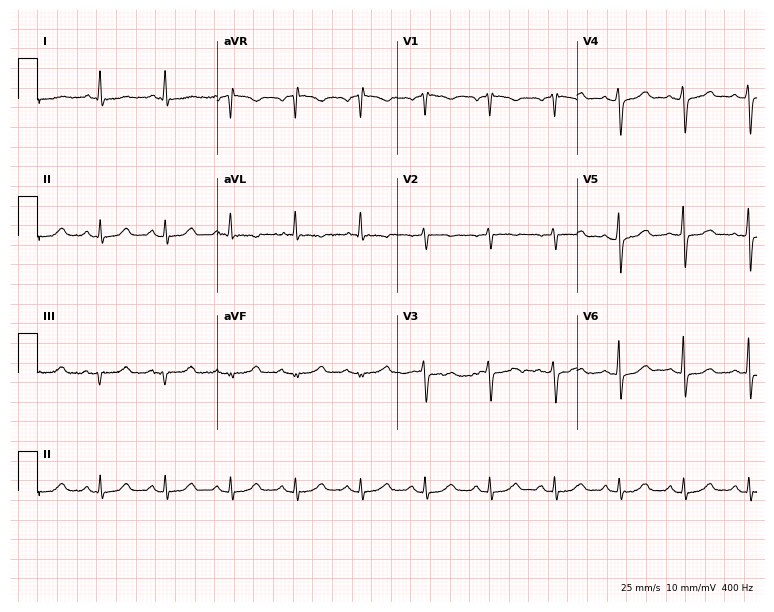
Standard 12-lead ECG recorded from a 58-year-old female. Read as a normal ECG.